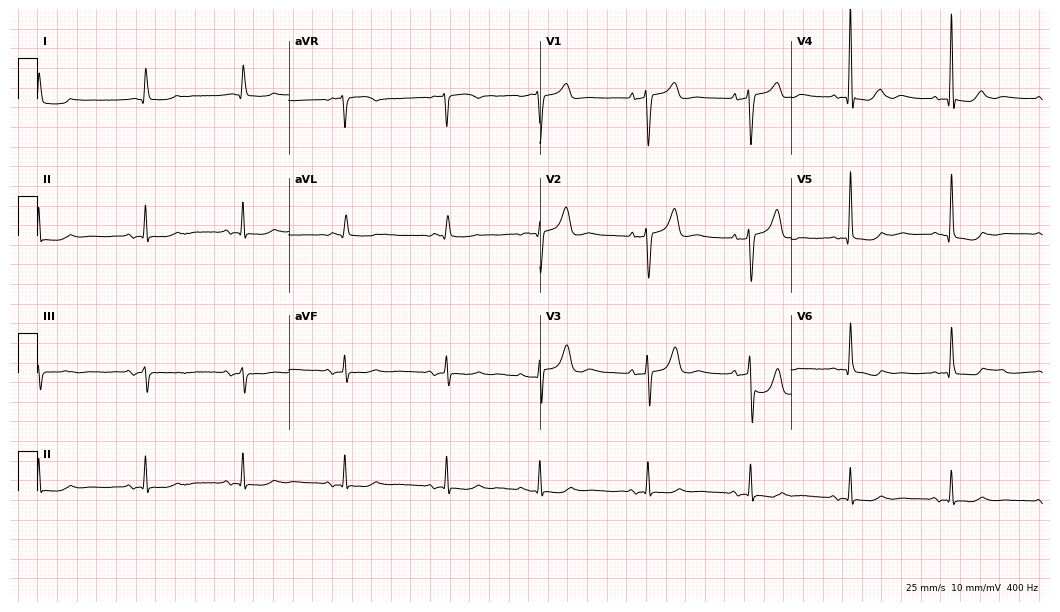
Electrocardiogram (10.2-second recording at 400 Hz), a 78-year-old female patient. Of the six screened findings (first-degree AV block, right bundle branch block, left bundle branch block, sinus bradycardia, atrial fibrillation, sinus tachycardia), none is recorded. Findings outside these six are not listed.